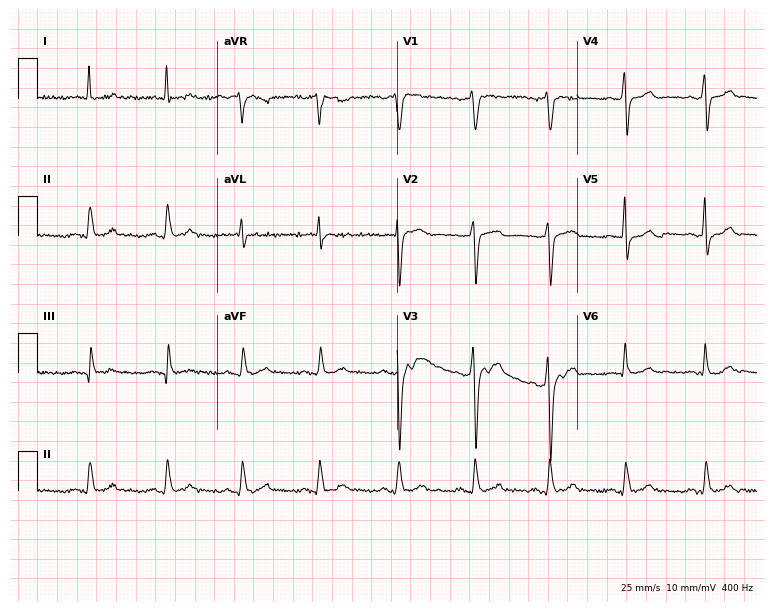
12-lead ECG from a 49-year-old man (7.3-second recording at 400 Hz). Recorded interpretation: within normal limits.